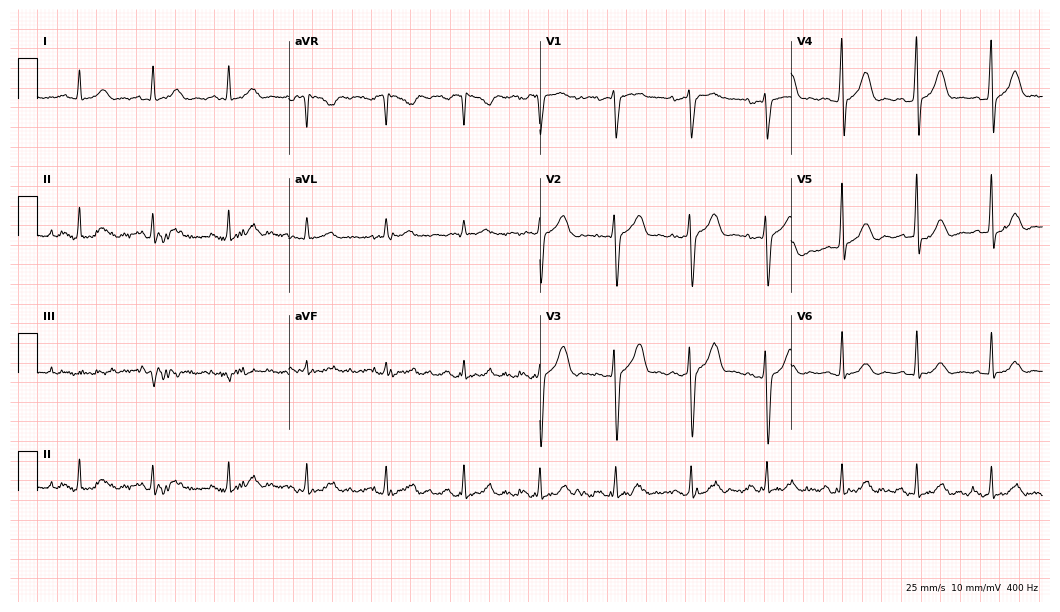
12-lead ECG from a 67-year-old man (10.2-second recording at 400 Hz). No first-degree AV block, right bundle branch block, left bundle branch block, sinus bradycardia, atrial fibrillation or sinus tachycardia recorded for this tracing.